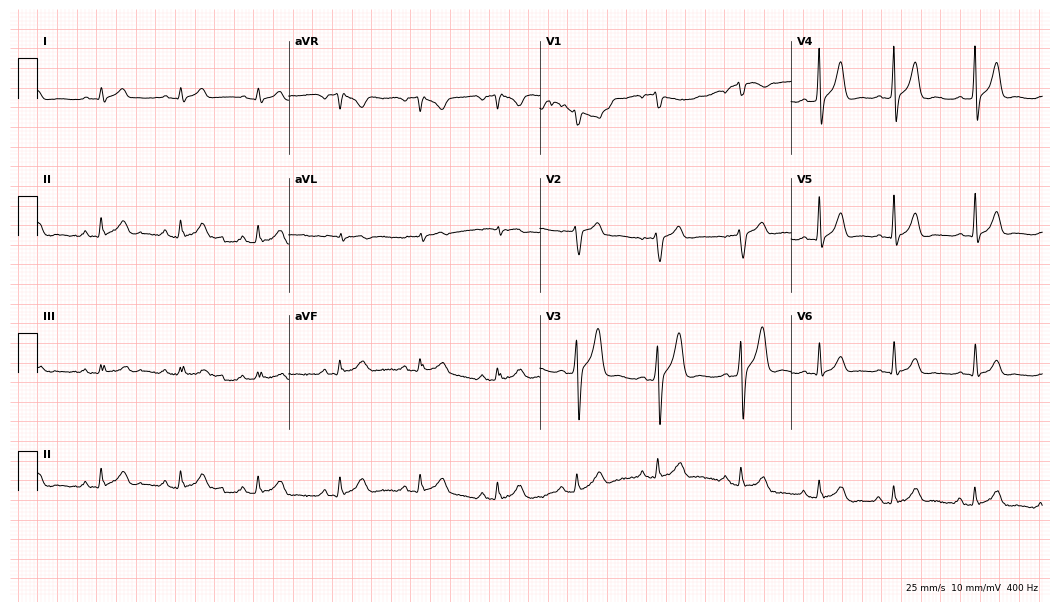
Standard 12-lead ECG recorded from a female patient, 24 years old (10.2-second recording at 400 Hz). Read as a normal ECG.